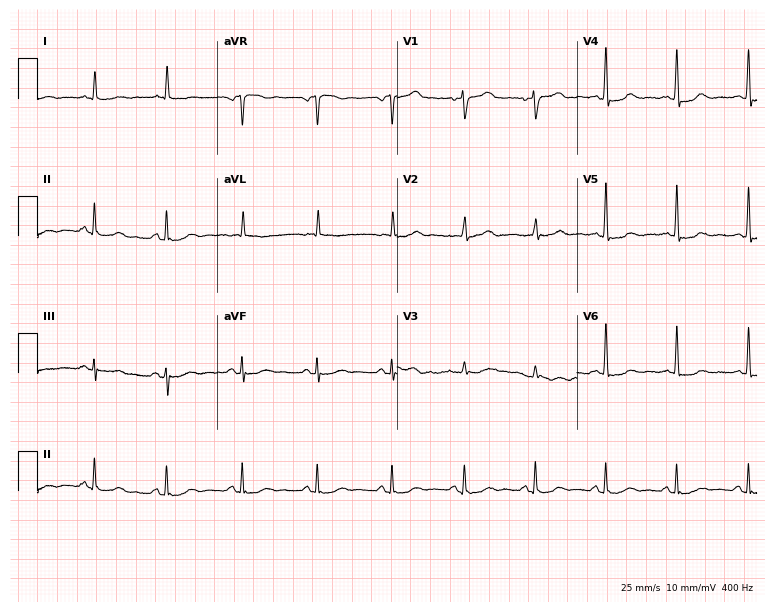
12-lead ECG from a 52-year-old male patient (7.3-second recording at 400 Hz). No first-degree AV block, right bundle branch block (RBBB), left bundle branch block (LBBB), sinus bradycardia, atrial fibrillation (AF) or sinus tachycardia recorded for this tracing. Findings outside these six are not listed.